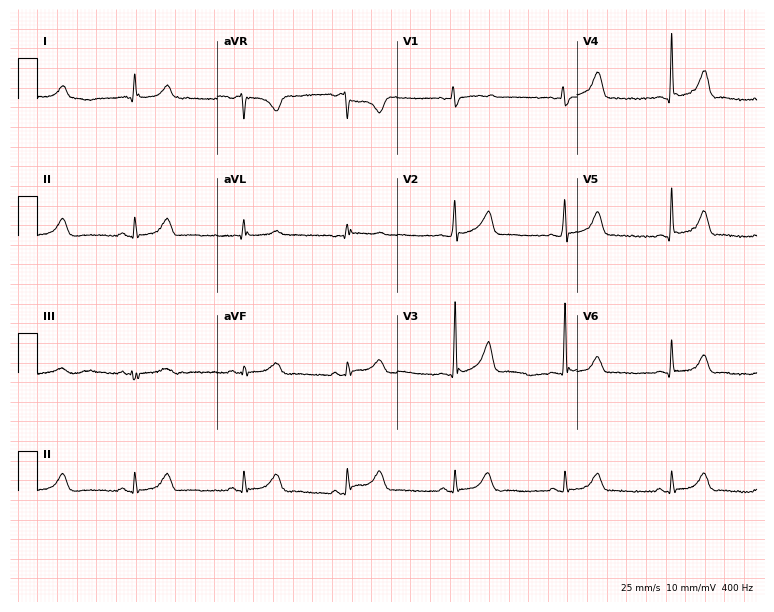
12-lead ECG (7.3-second recording at 400 Hz) from a 51-year-old male patient. Screened for six findings — first-degree AV block, right bundle branch block, left bundle branch block, sinus bradycardia, atrial fibrillation, sinus tachycardia — none is recorded. Findings outside these six are not listed.